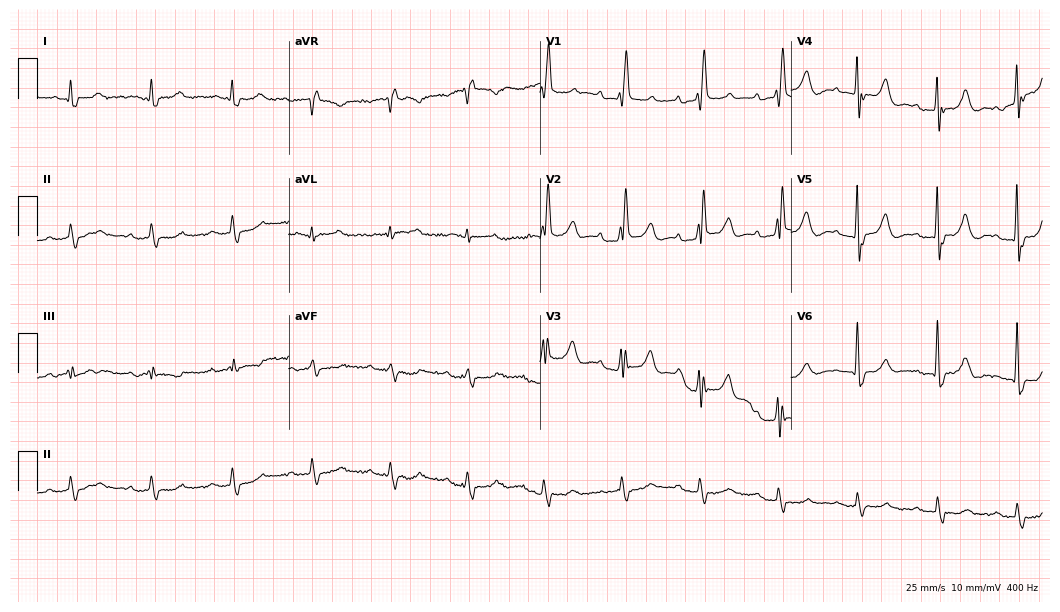
Electrocardiogram, an 80-year-old male. Interpretation includes right bundle branch block (RBBB).